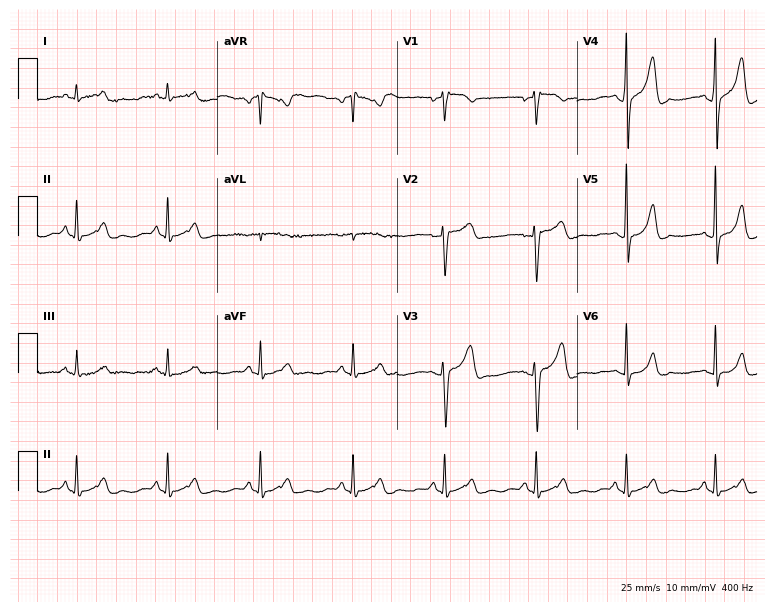
12-lead ECG from a 54-year-old male (7.3-second recording at 400 Hz). Recorded interpretation: within normal limits.